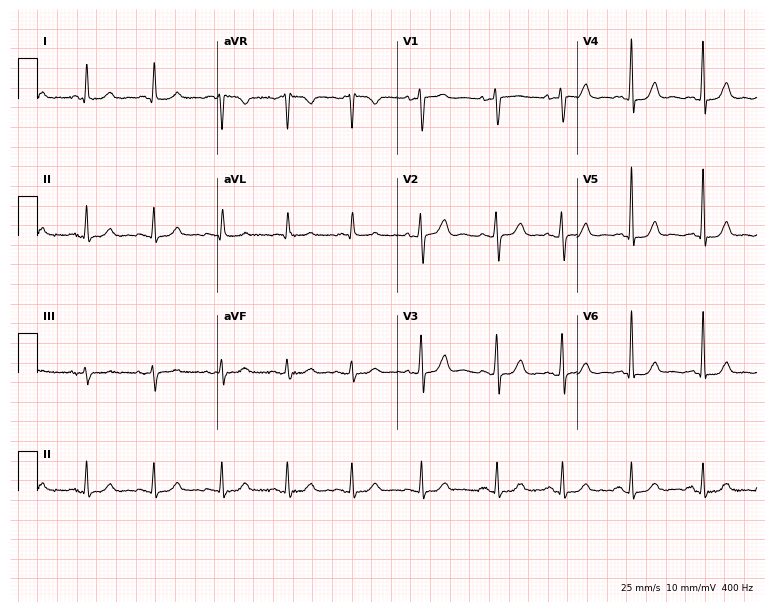
ECG — a female, 76 years old. Labelled as a normal ECG.